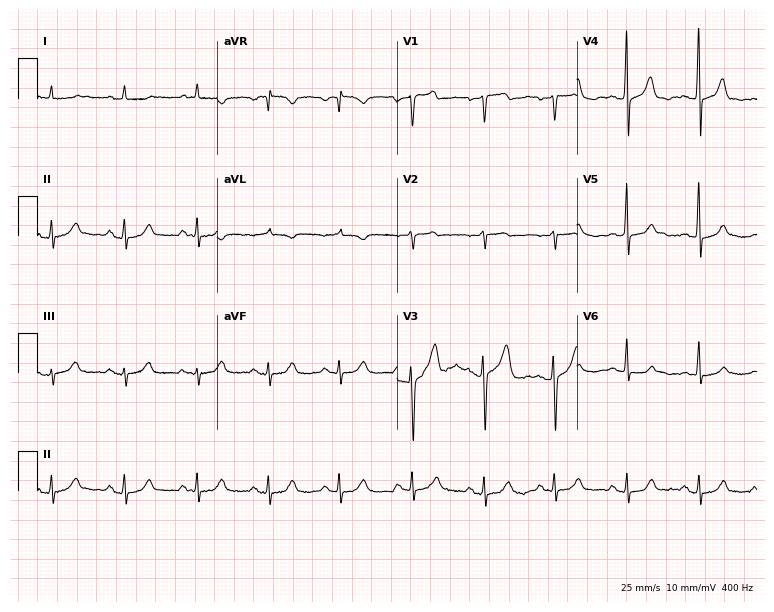
Resting 12-lead electrocardiogram (7.3-second recording at 400 Hz). Patient: a male, 51 years old. None of these six findings is recorded: first-degree AV block, right bundle branch block, left bundle branch block, sinus bradycardia, atrial fibrillation, sinus tachycardia.